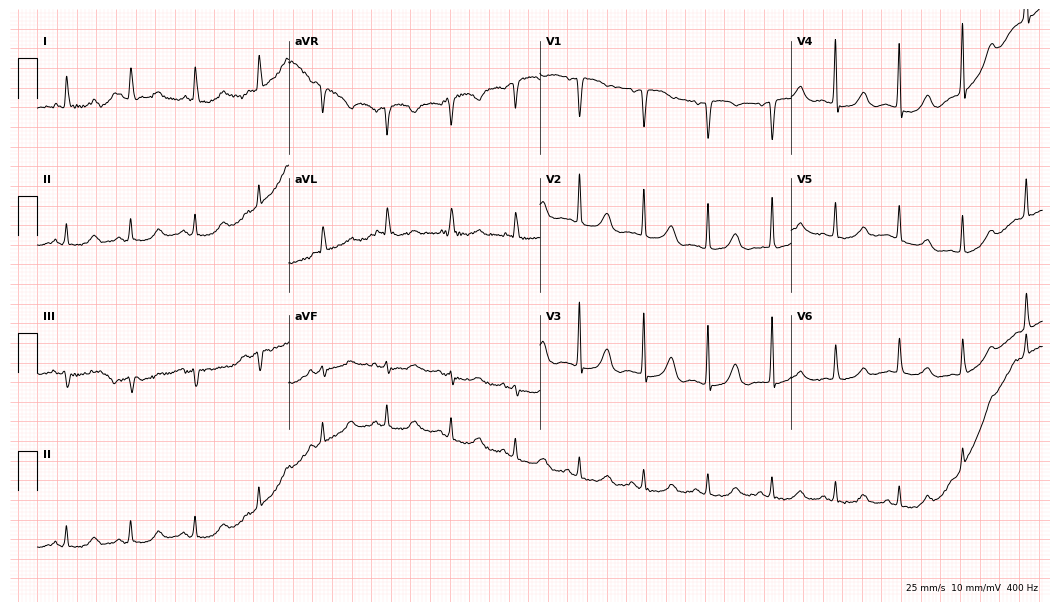
Standard 12-lead ECG recorded from a 65-year-old female (10.2-second recording at 400 Hz). None of these six findings is recorded: first-degree AV block, right bundle branch block, left bundle branch block, sinus bradycardia, atrial fibrillation, sinus tachycardia. Other findings, if any, are not listed.